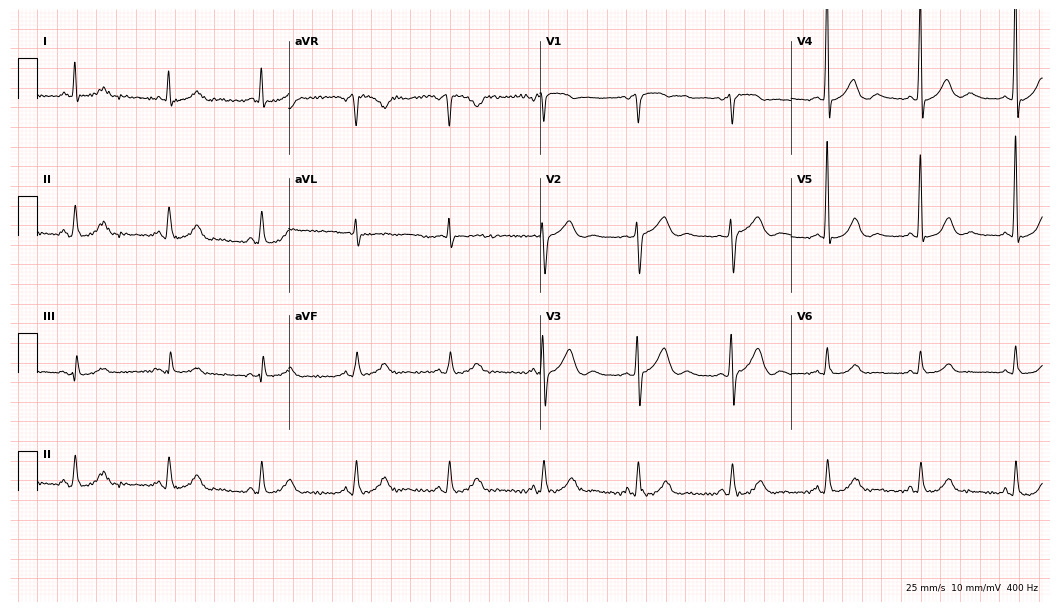
Standard 12-lead ECG recorded from a 79-year-old male patient. Read as a normal ECG.